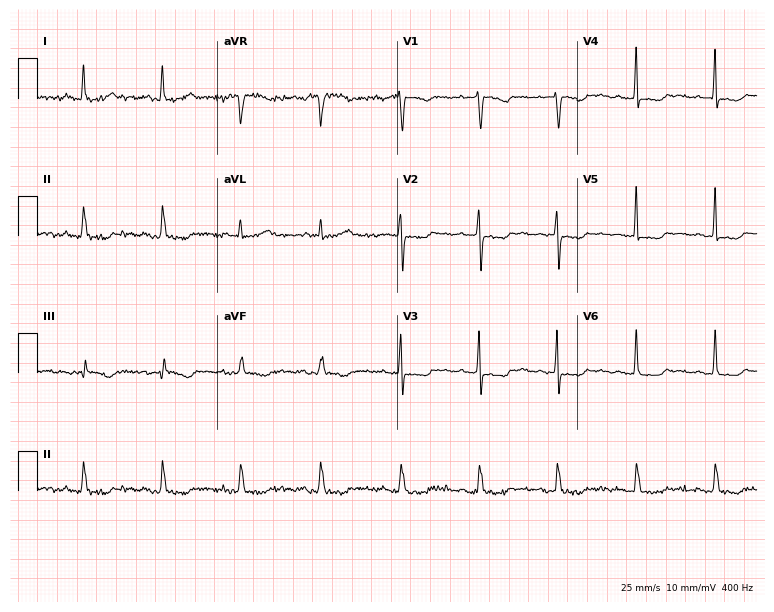
Standard 12-lead ECG recorded from a female, 77 years old (7.3-second recording at 400 Hz). None of these six findings is recorded: first-degree AV block, right bundle branch block, left bundle branch block, sinus bradycardia, atrial fibrillation, sinus tachycardia.